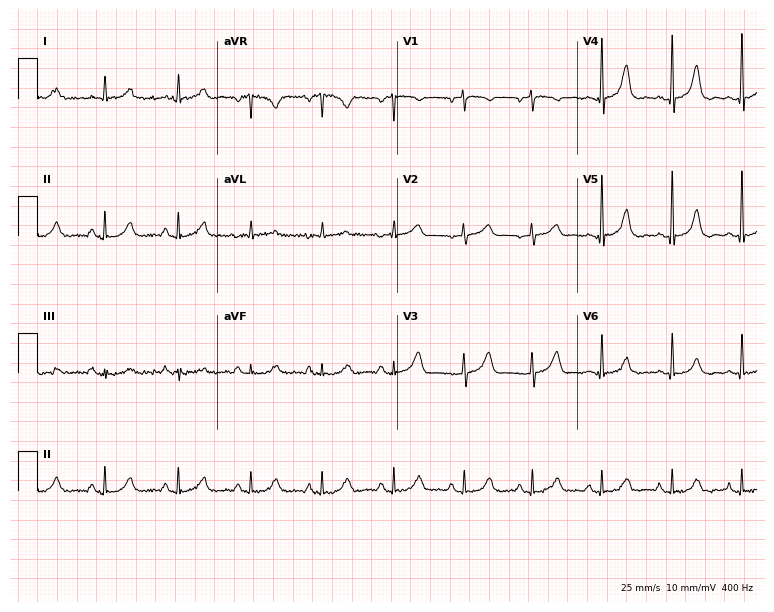
12-lead ECG from a 68-year-old male patient. Labelled as a normal ECG.